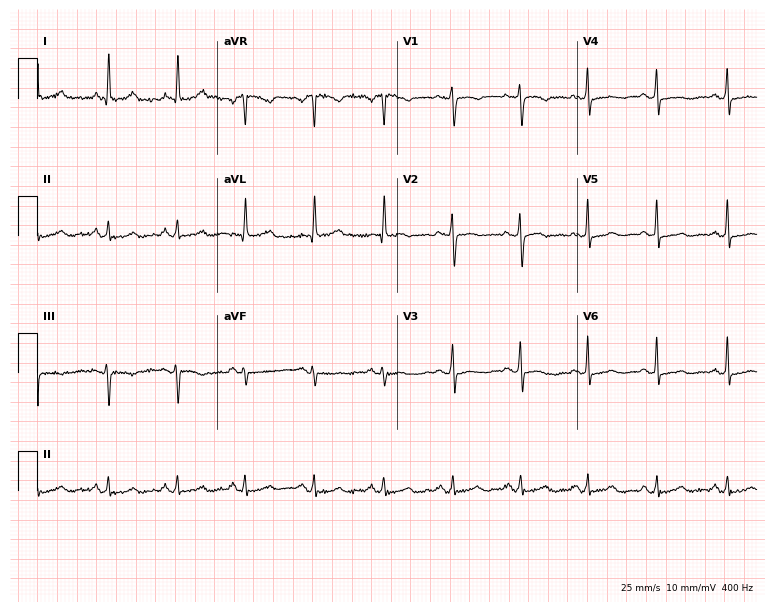
12-lead ECG from a woman, 42 years old (7.3-second recording at 400 Hz). No first-degree AV block, right bundle branch block (RBBB), left bundle branch block (LBBB), sinus bradycardia, atrial fibrillation (AF) or sinus tachycardia recorded for this tracing.